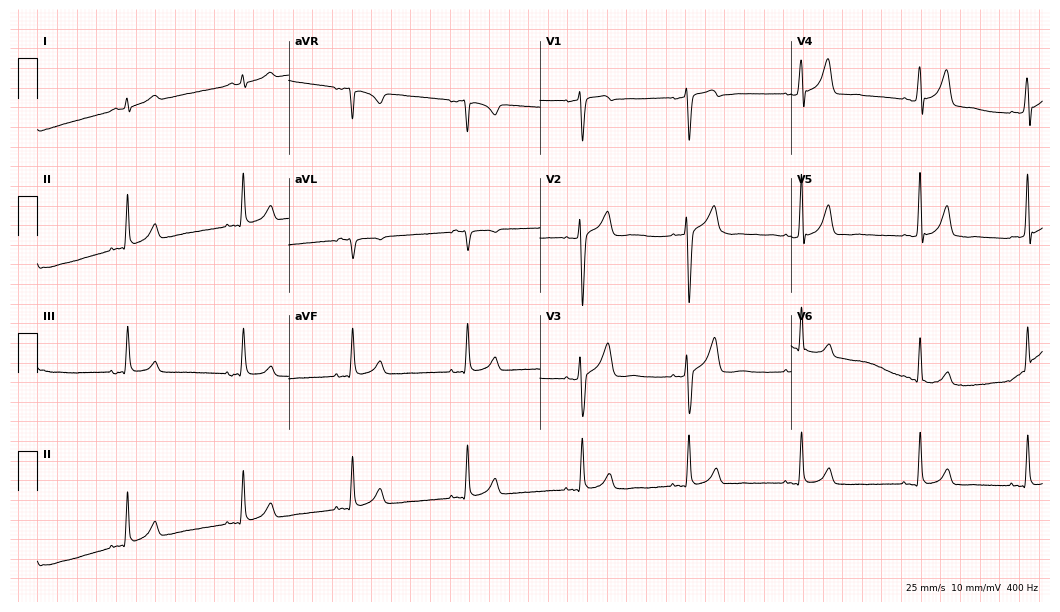
12-lead ECG (10.2-second recording at 400 Hz) from a 46-year-old male. Screened for six findings — first-degree AV block, right bundle branch block, left bundle branch block, sinus bradycardia, atrial fibrillation, sinus tachycardia — none is recorded. Findings outside these six are not listed.